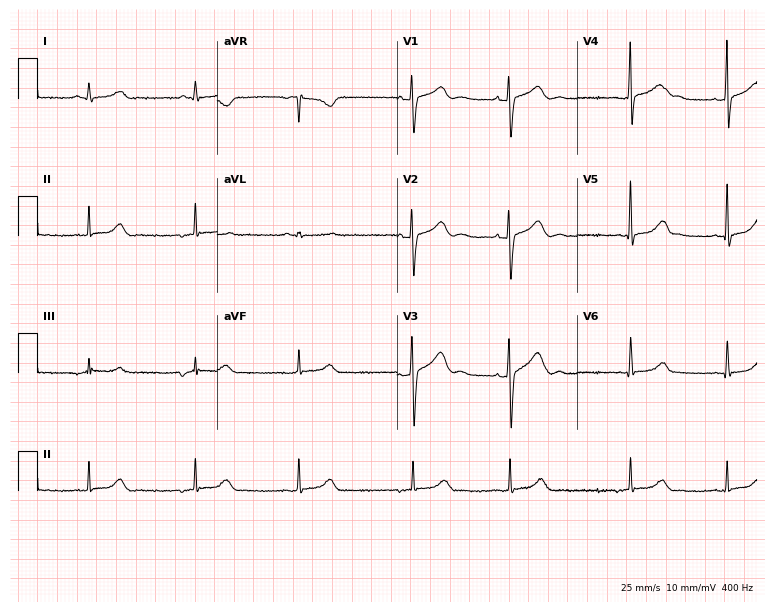
Standard 12-lead ECG recorded from a 17-year-old female. None of these six findings is recorded: first-degree AV block, right bundle branch block (RBBB), left bundle branch block (LBBB), sinus bradycardia, atrial fibrillation (AF), sinus tachycardia. Findings outside these six are not listed.